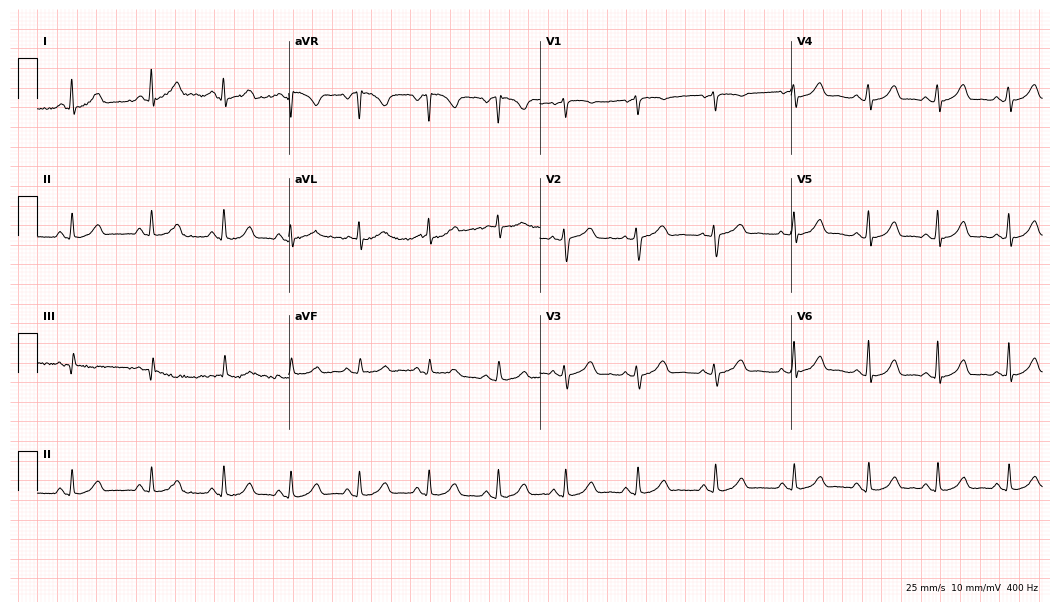
12-lead ECG (10.2-second recording at 400 Hz) from a woman, 37 years old. Labelled as a normal ECG.